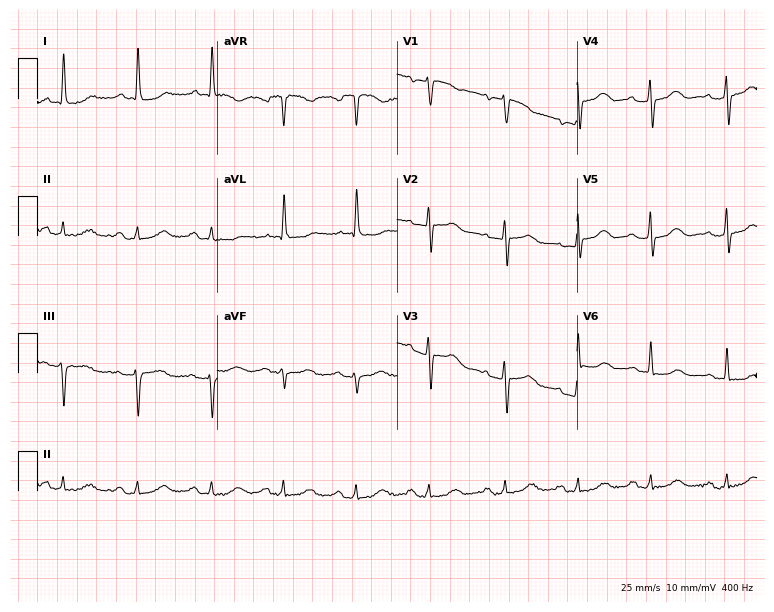
ECG — a 68-year-old female. Screened for six findings — first-degree AV block, right bundle branch block (RBBB), left bundle branch block (LBBB), sinus bradycardia, atrial fibrillation (AF), sinus tachycardia — none is recorded.